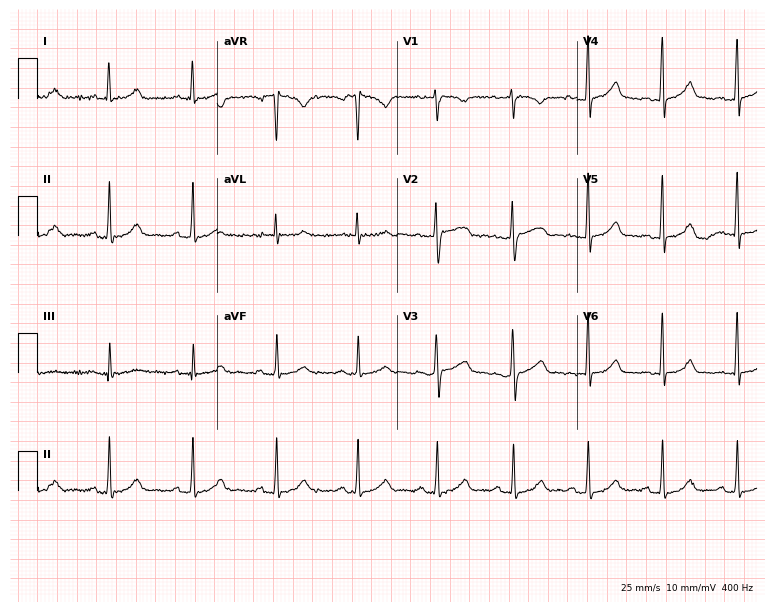
12-lead ECG from a woman, 24 years old (7.3-second recording at 400 Hz). Recorded interpretation: within normal limits.